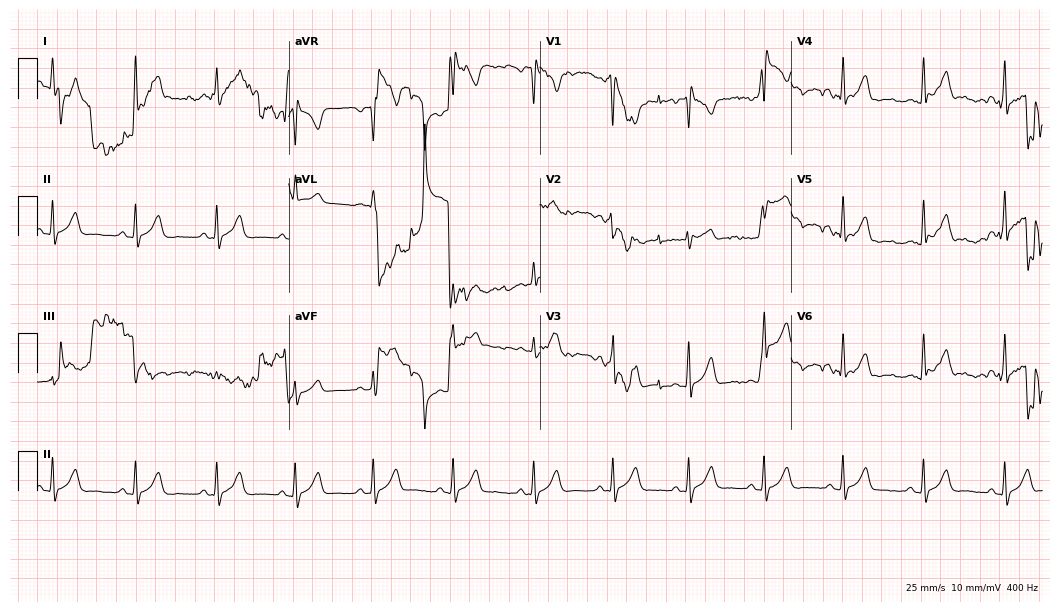
Resting 12-lead electrocardiogram (10.2-second recording at 400 Hz). Patient: a 25-year-old woman. None of these six findings is recorded: first-degree AV block, right bundle branch block, left bundle branch block, sinus bradycardia, atrial fibrillation, sinus tachycardia. Findings outside these six are not listed.